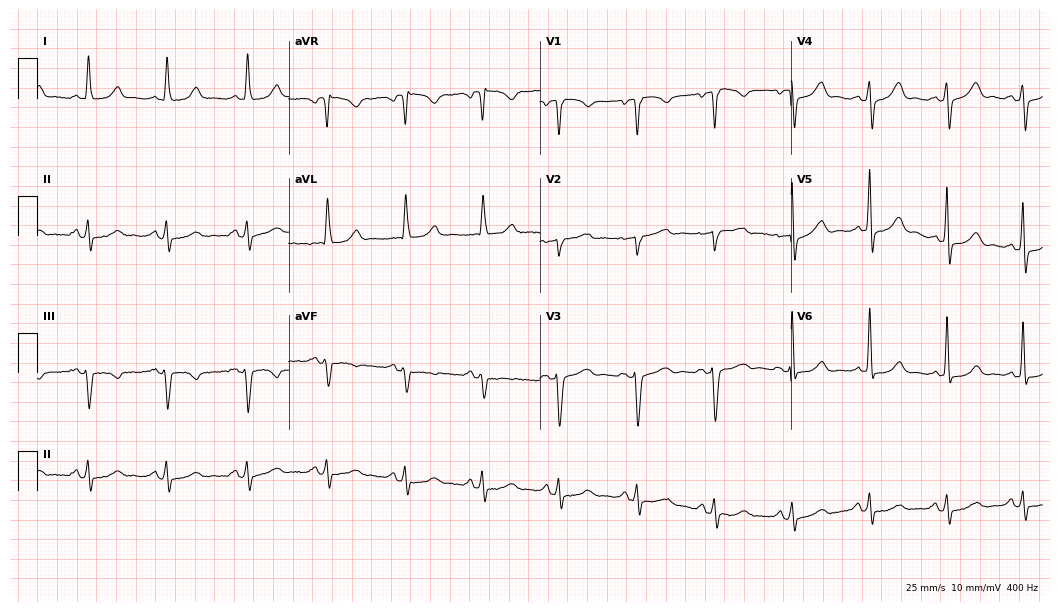
ECG — a 78-year-old female patient. Screened for six findings — first-degree AV block, right bundle branch block, left bundle branch block, sinus bradycardia, atrial fibrillation, sinus tachycardia — none is recorded.